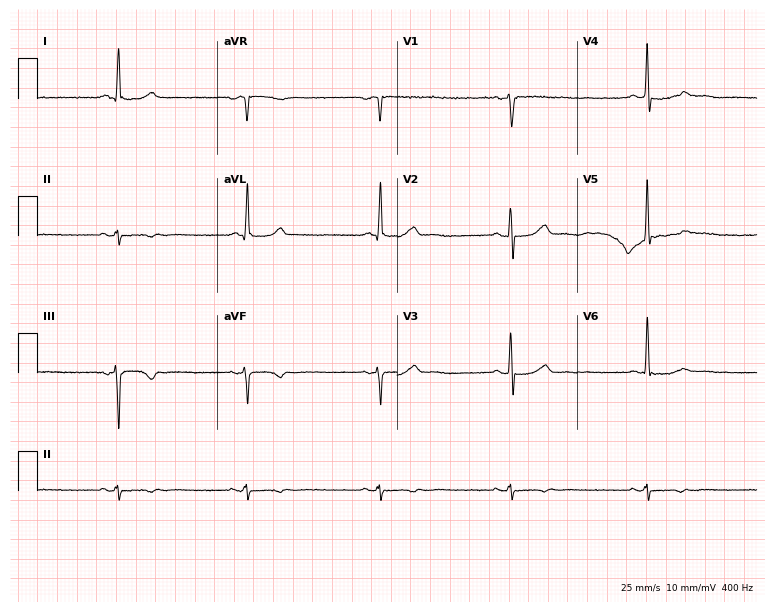
12-lead ECG from a 69-year-old male patient (7.3-second recording at 400 Hz). Shows sinus bradycardia (a sinus rate of 50 beats per minute or less).